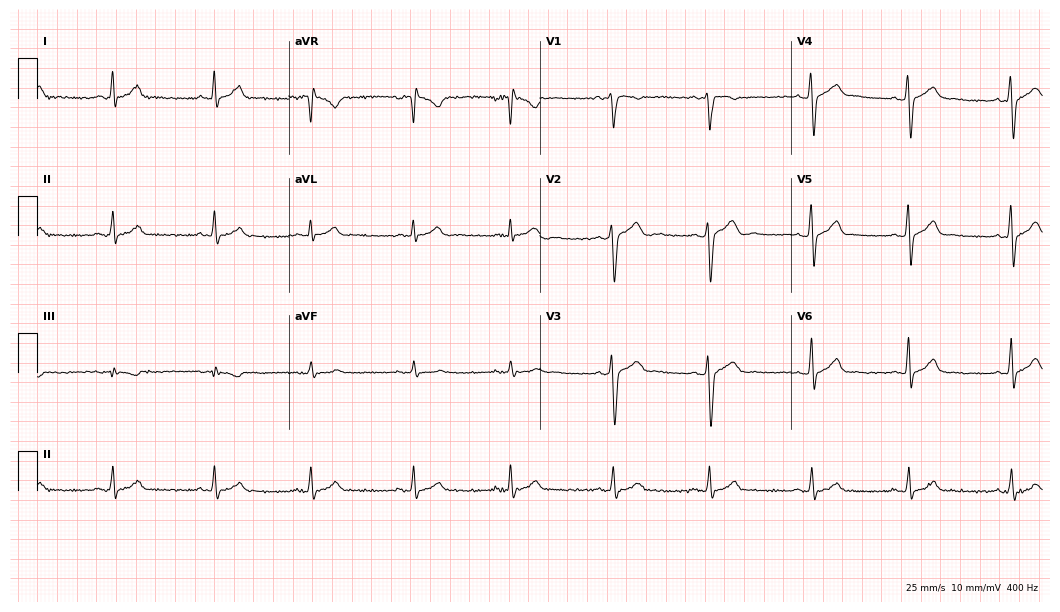
ECG — a 31-year-old man. Labelled as a normal ECG.